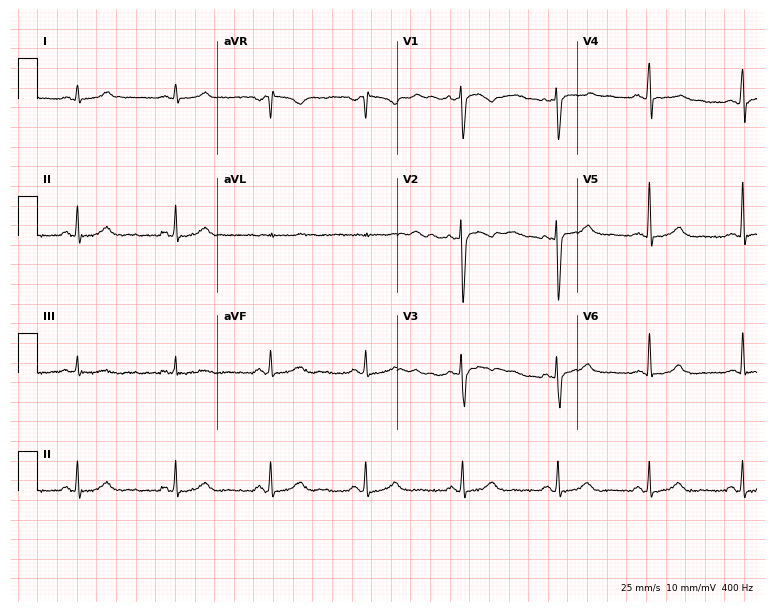
ECG — a 33-year-old woman. Screened for six findings — first-degree AV block, right bundle branch block (RBBB), left bundle branch block (LBBB), sinus bradycardia, atrial fibrillation (AF), sinus tachycardia — none is recorded. Other findings, if any, are not listed.